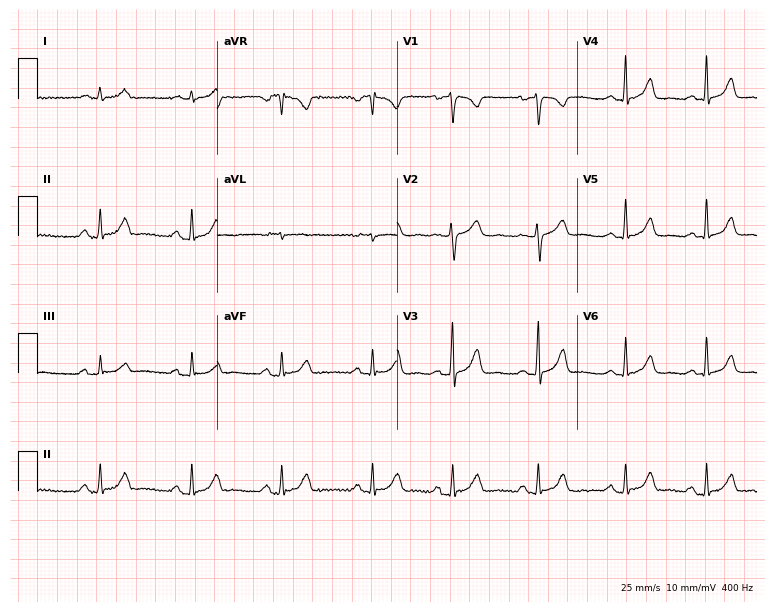
12-lead ECG from a 22-year-old female. Labelled as a normal ECG.